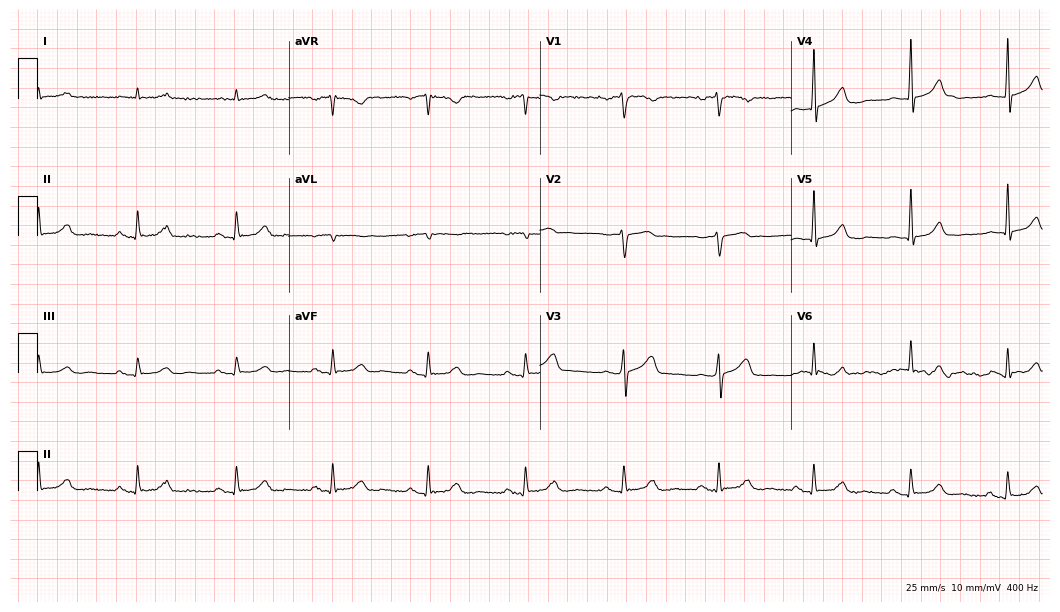
Resting 12-lead electrocardiogram (10.2-second recording at 400 Hz). Patient: a male, 68 years old. Read as a normal ECG.